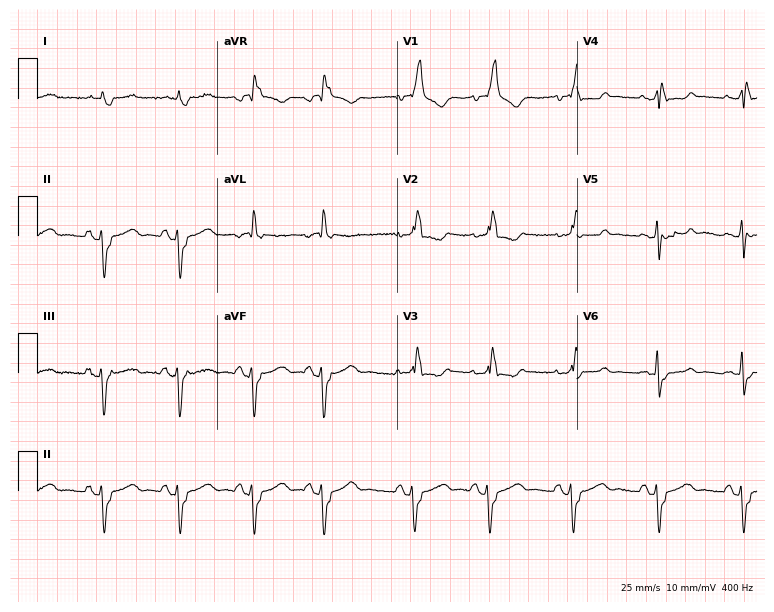
Standard 12-lead ECG recorded from a male, 77 years old (7.3-second recording at 400 Hz). The tracing shows right bundle branch block.